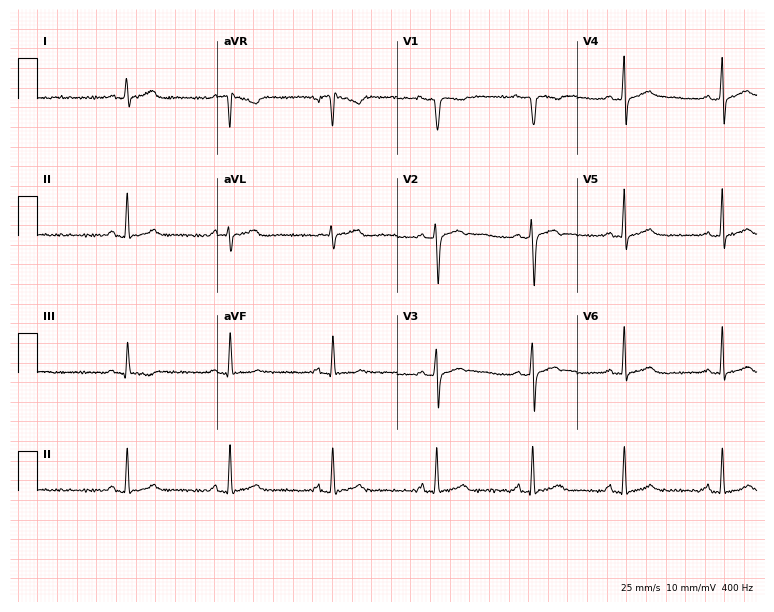
12-lead ECG from a female, 28 years old. Screened for six findings — first-degree AV block, right bundle branch block, left bundle branch block, sinus bradycardia, atrial fibrillation, sinus tachycardia — none is recorded.